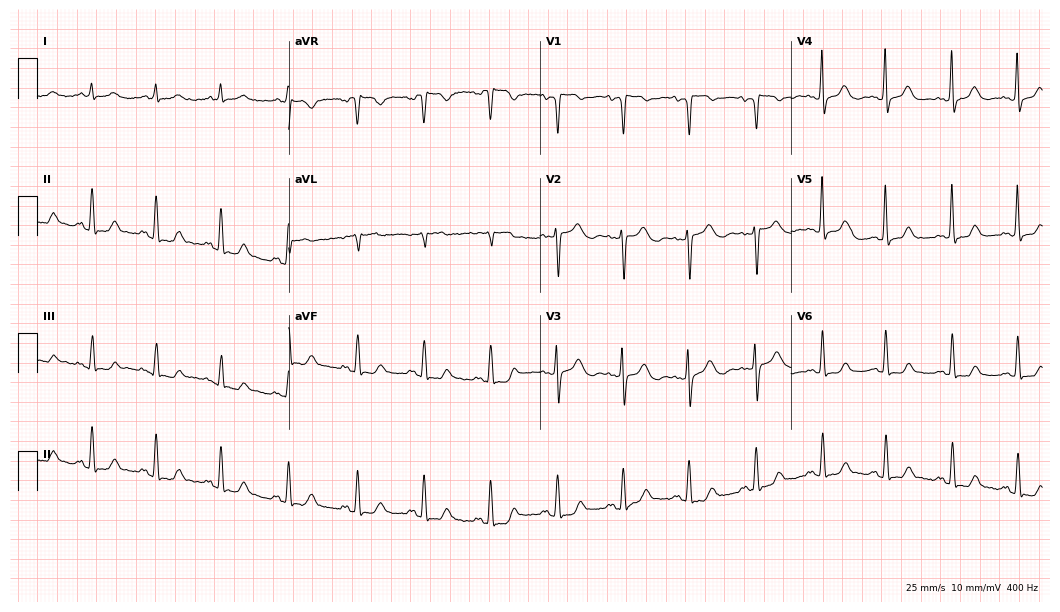
12-lead ECG from a woman, 78 years old (10.2-second recording at 400 Hz). Recorded interpretation: within normal limits.